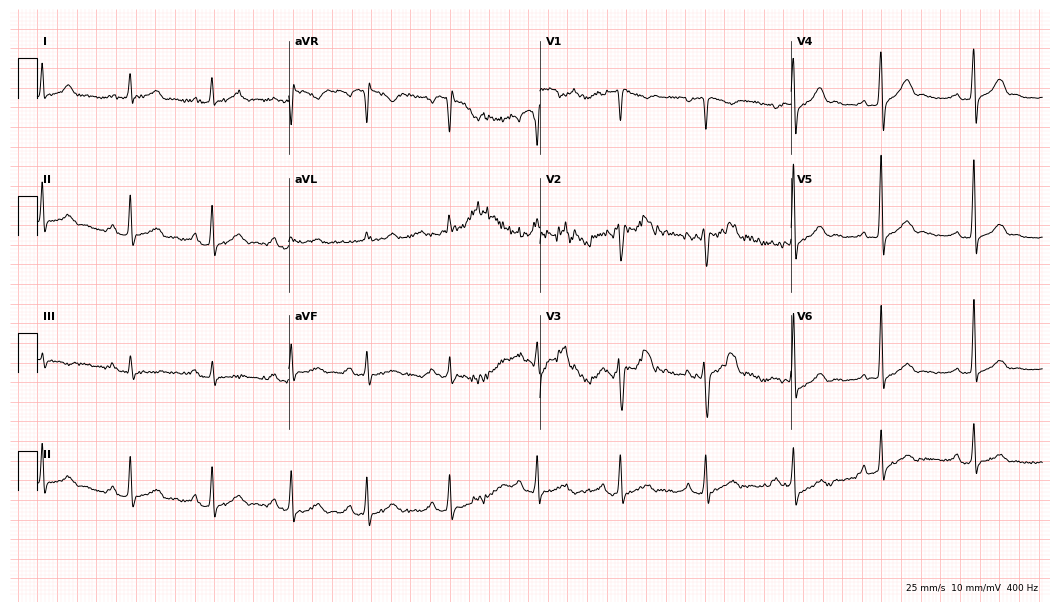
ECG — a male, 47 years old. Labelled as a normal ECG.